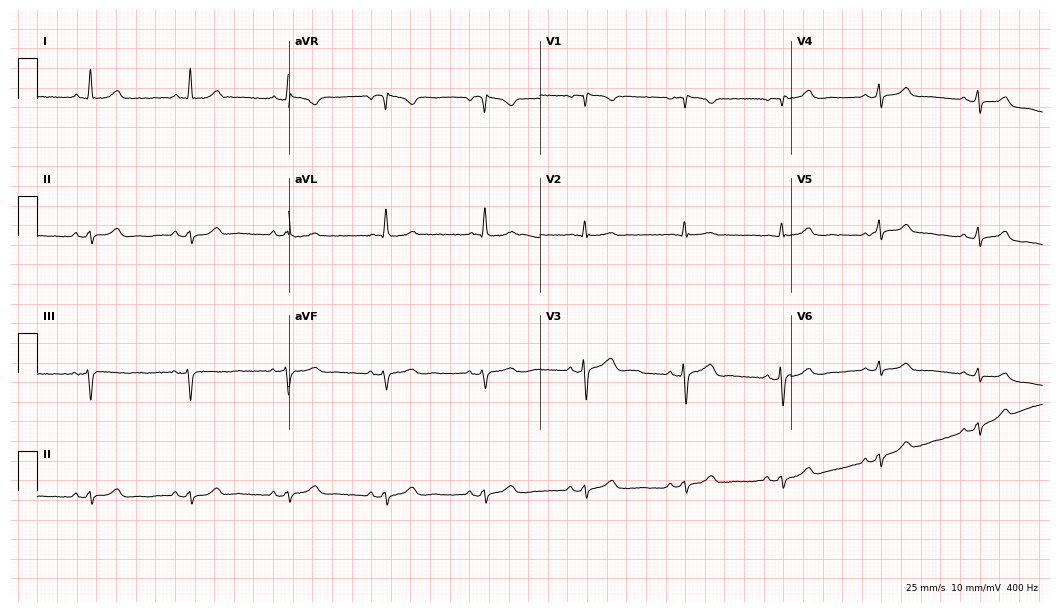
Resting 12-lead electrocardiogram. Patient: a 69-year-old female. None of these six findings is recorded: first-degree AV block, right bundle branch block, left bundle branch block, sinus bradycardia, atrial fibrillation, sinus tachycardia. Other findings, if any, are not listed.